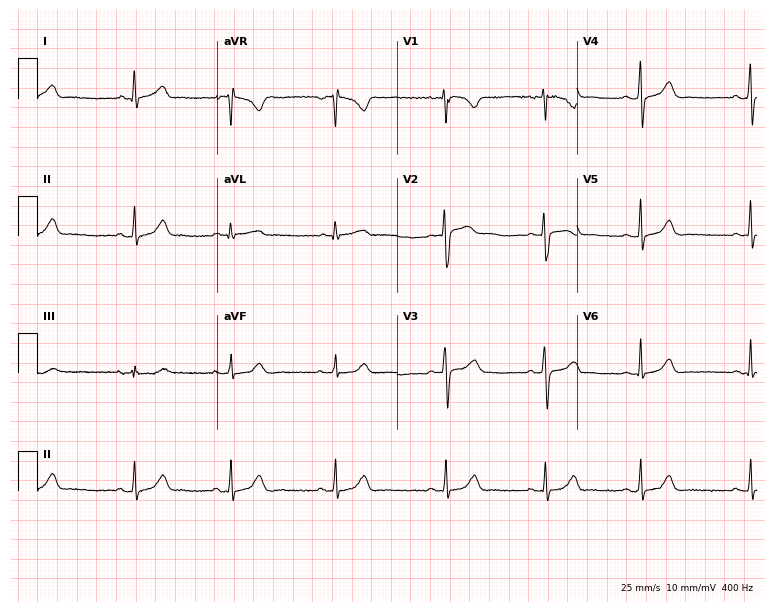
Electrocardiogram (7.3-second recording at 400 Hz), a 27-year-old female patient. Overall reading on record: normal ECG.